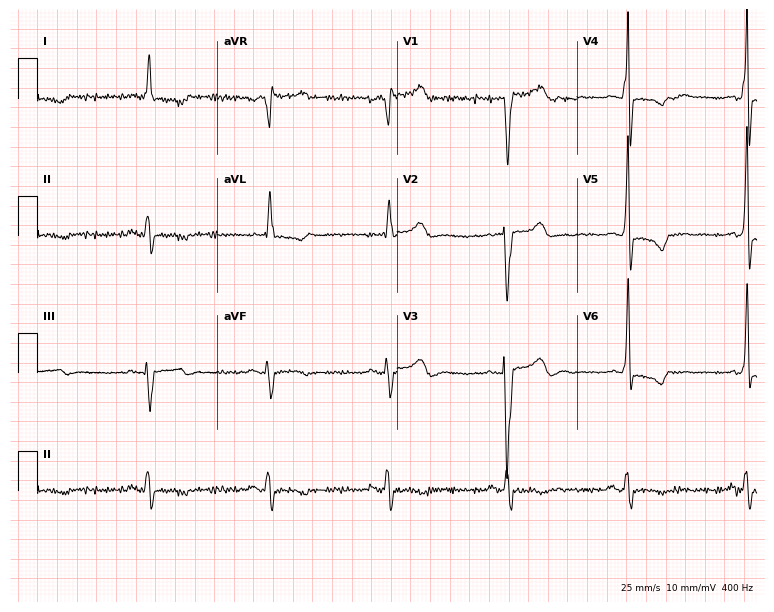
Electrocardiogram (7.3-second recording at 400 Hz), a 61-year-old man. Interpretation includes right bundle branch block, sinus bradycardia (a sinus rate of 50 beats per minute or less).